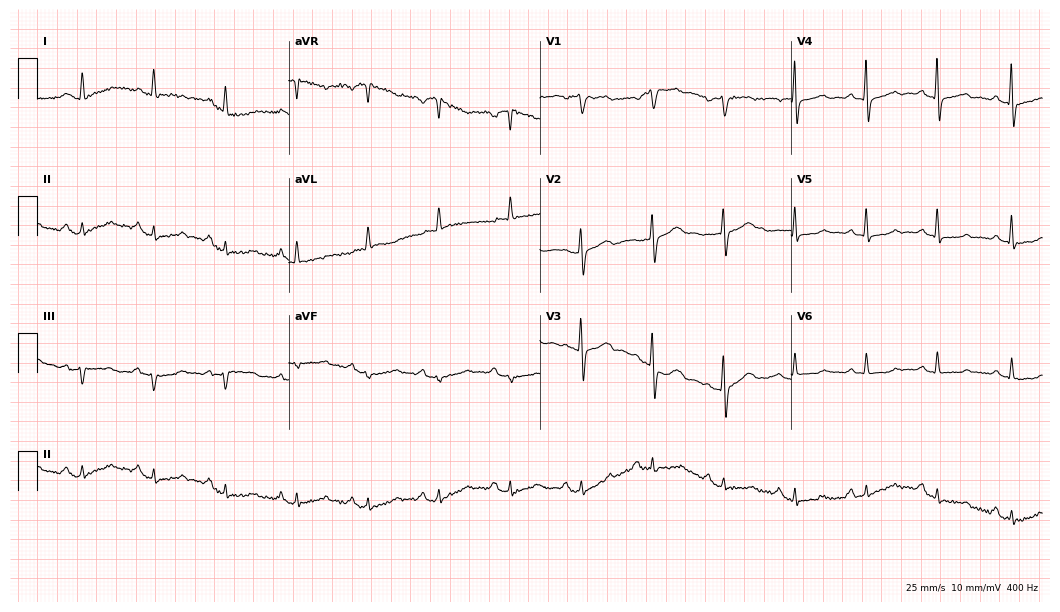
Standard 12-lead ECG recorded from a female patient, 66 years old. None of these six findings is recorded: first-degree AV block, right bundle branch block, left bundle branch block, sinus bradycardia, atrial fibrillation, sinus tachycardia.